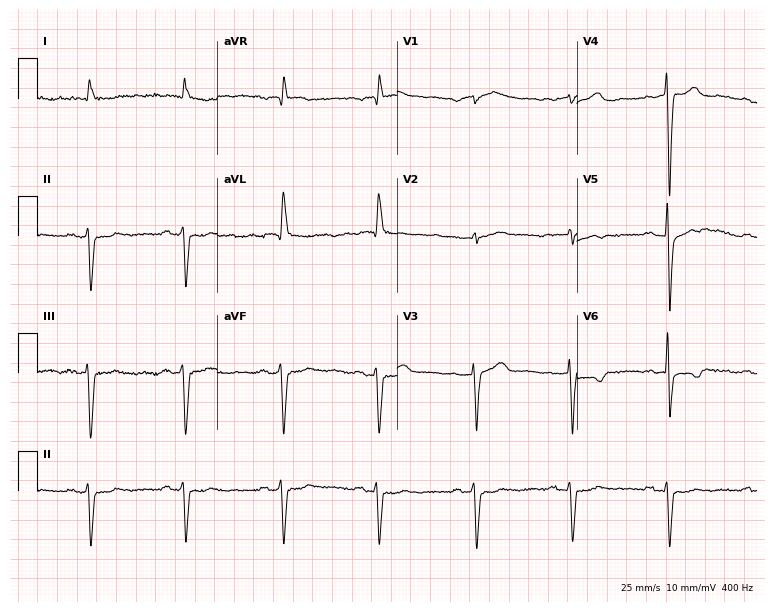
12-lead ECG (7.3-second recording at 400 Hz) from a male patient, 78 years old. Screened for six findings — first-degree AV block, right bundle branch block (RBBB), left bundle branch block (LBBB), sinus bradycardia, atrial fibrillation (AF), sinus tachycardia — none is recorded.